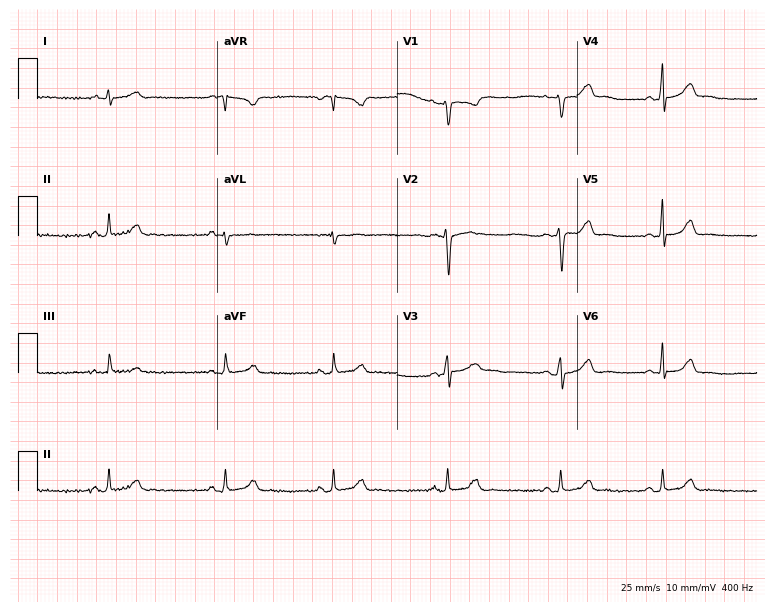
Resting 12-lead electrocardiogram (7.3-second recording at 400 Hz). Patient: a 24-year-old female. Read as a normal ECG.